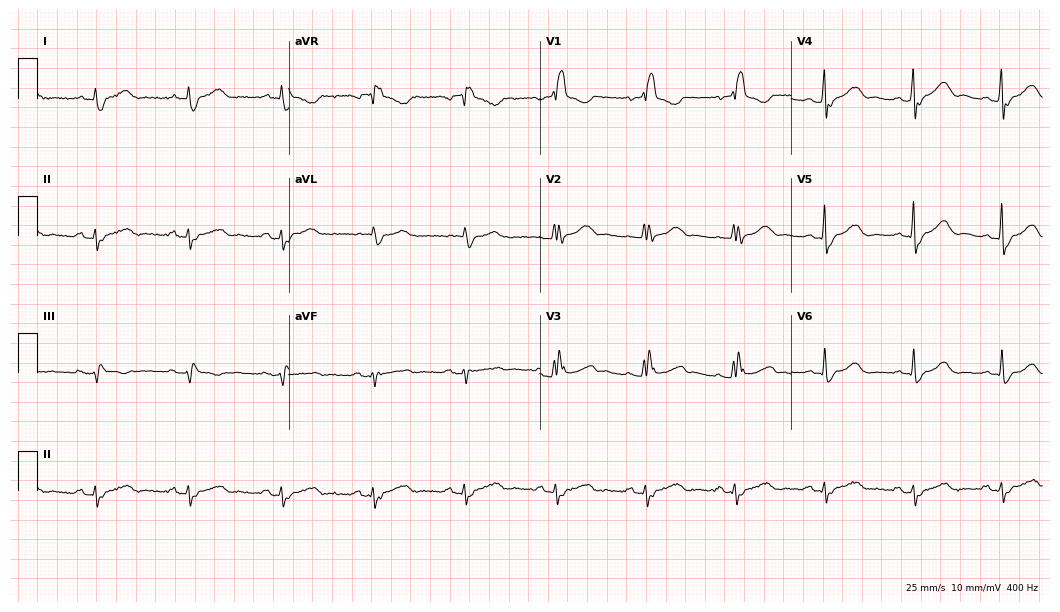
12-lead ECG from a female patient, 68 years old. Shows right bundle branch block.